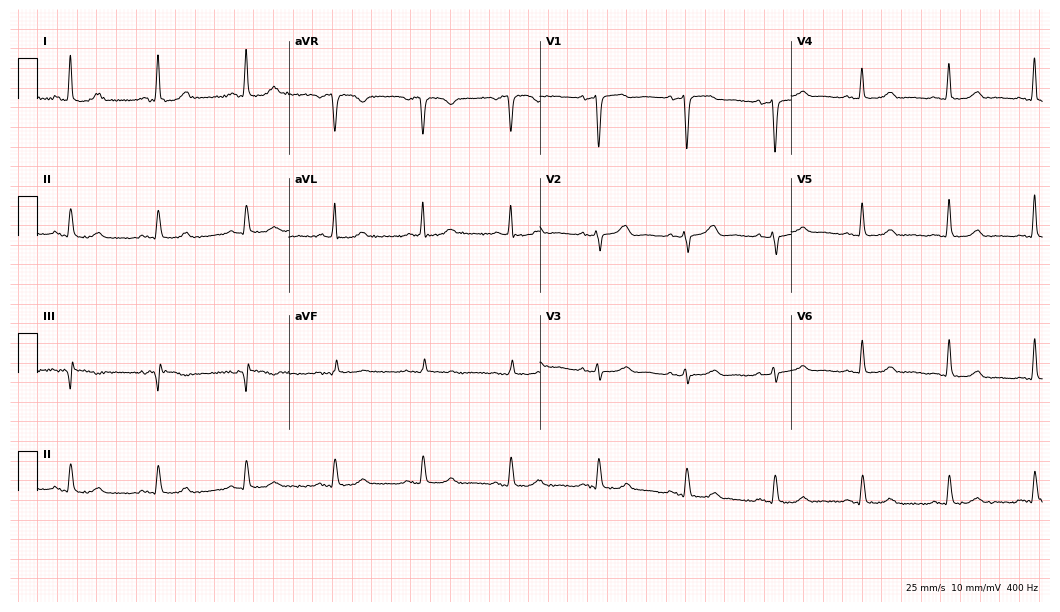
12-lead ECG from a woman, 66 years old. No first-degree AV block, right bundle branch block, left bundle branch block, sinus bradycardia, atrial fibrillation or sinus tachycardia recorded for this tracing.